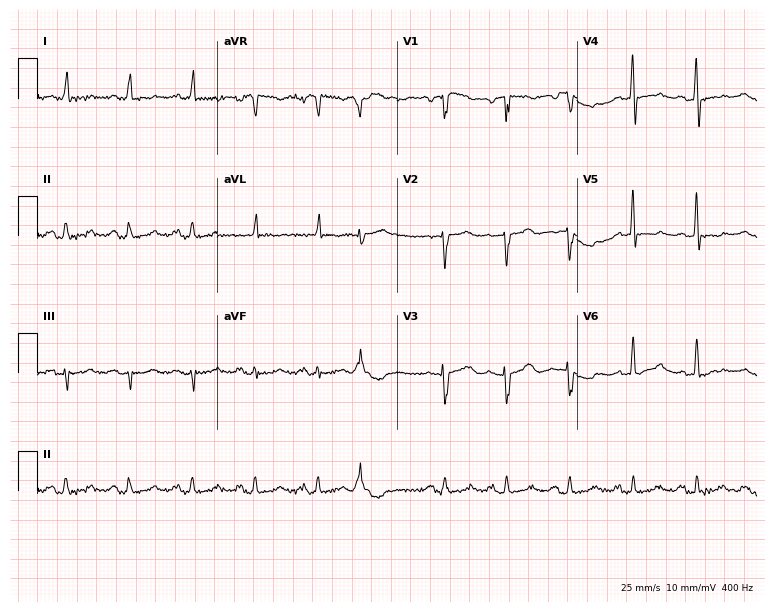
Electrocardiogram, a woman, 79 years old. Of the six screened findings (first-degree AV block, right bundle branch block, left bundle branch block, sinus bradycardia, atrial fibrillation, sinus tachycardia), none is recorded.